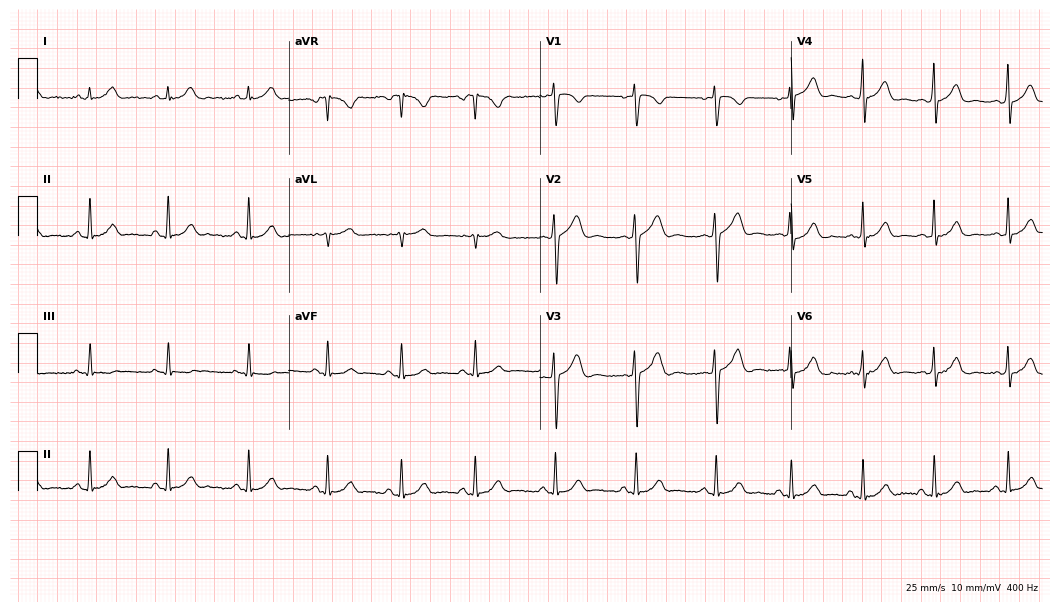
12-lead ECG from a female, 19 years old. Screened for six findings — first-degree AV block, right bundle branch block (RBBB), left bundle branch block (LBBB), sinus bradycardia, atrial fibrillation (AF), sinus tachycardia — none is recorded. Only these six findings were labelled.